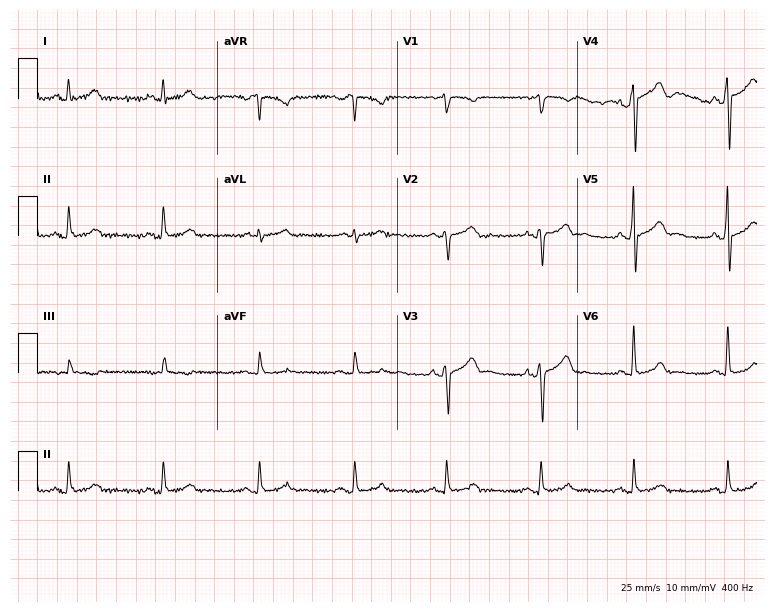
12-lead ECG from a 38-year-old man. Recorded interpretation: within normal limits.